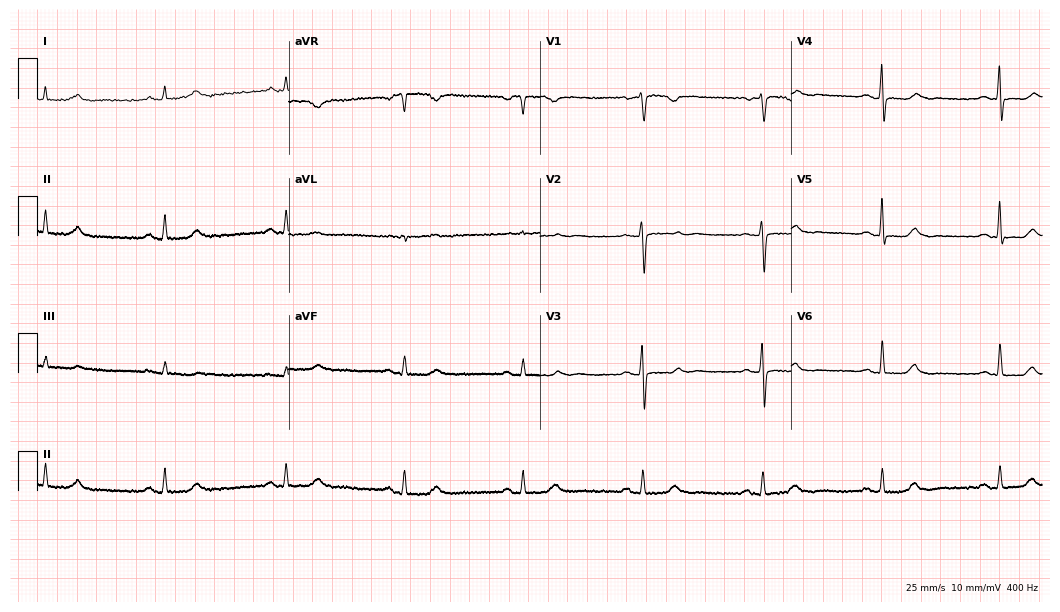
ECG — a woman, 69 years old. Findings include sinus bradycardia (a sinus rate of 50 beats per minute or less).